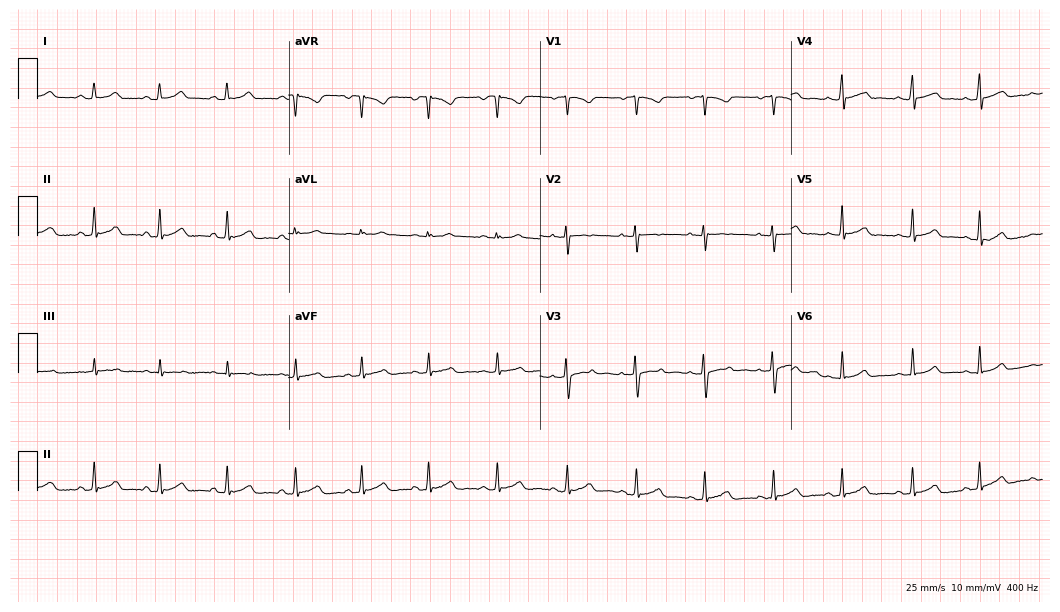
Resting 12-lead electrocardiogram. Patient: a female, 17 years old. Read as a normal ECG.